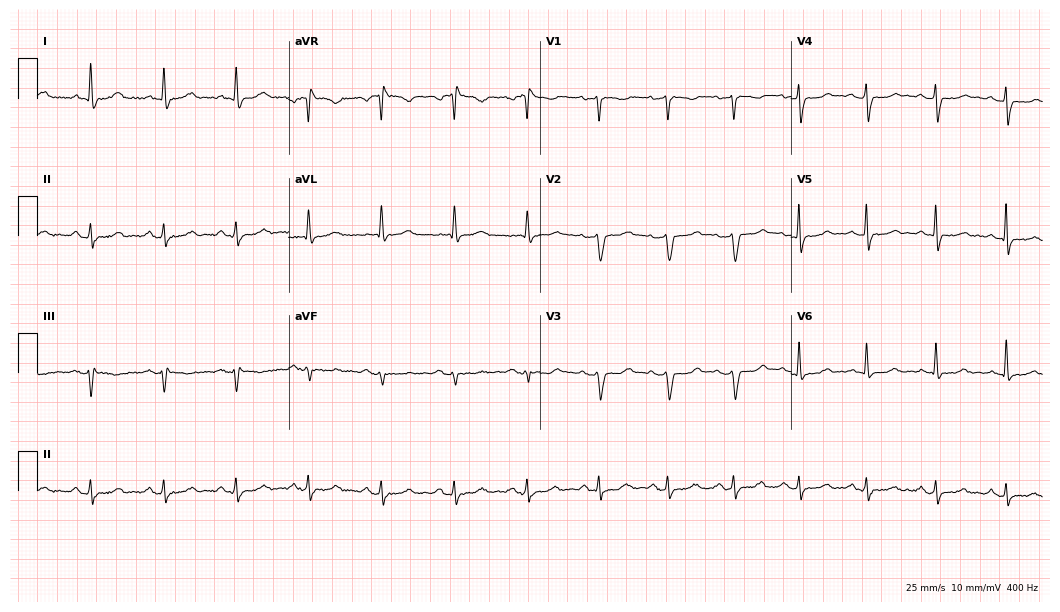
Standard 12-lead ECG recorded from a female, 61 years old (10.2-second recording at 400 Hz). None of these six findings is recorded: first-degree AV block, right bundle branch block, left bundle branch block, sinus bradycardia, atrial fibrillation, sinus tachycardia.